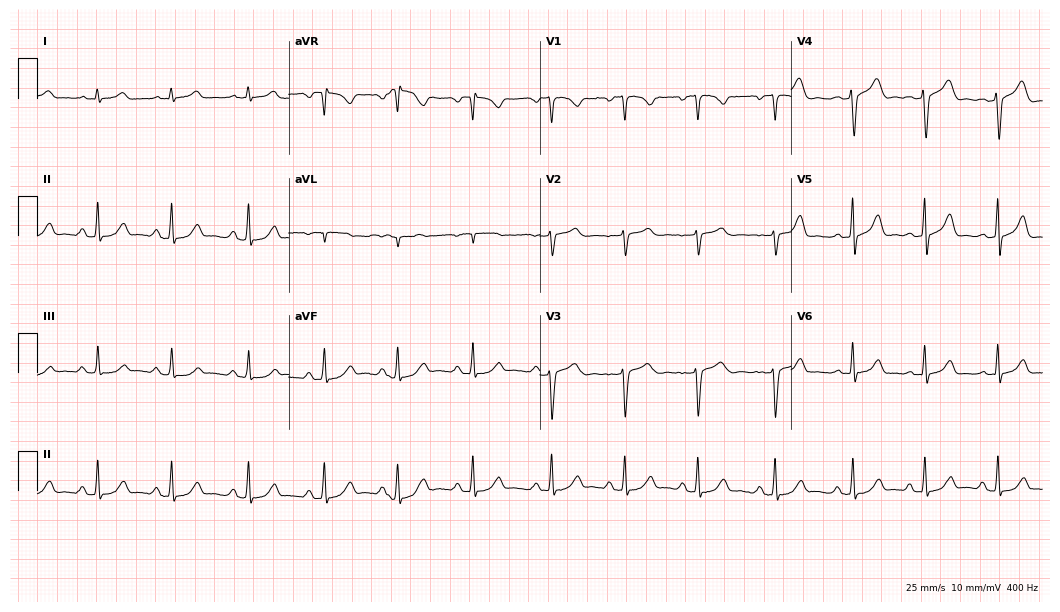
Resting 12-lead electrocardiogram (10.2-second recording at 400 Hz). Patient: a 28-year-old woman. Read as a normal ECG.